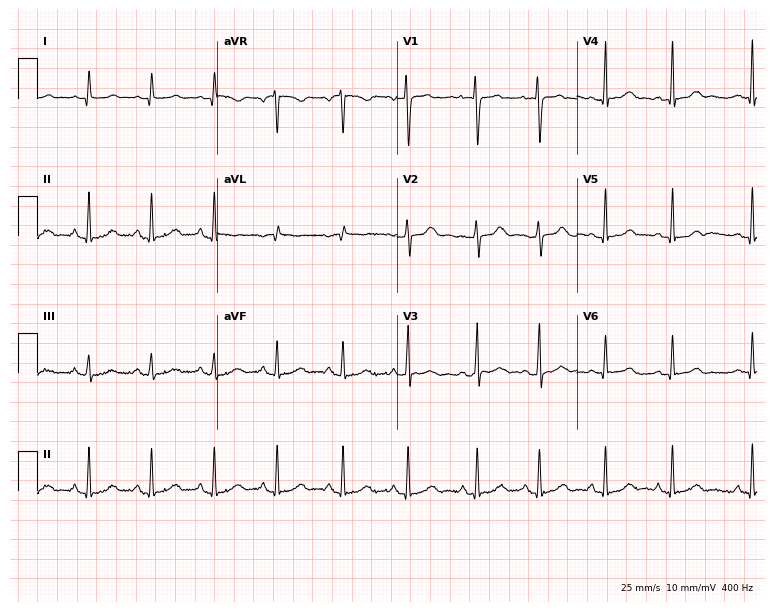
ECG (7.3-second recording at 400 Hz) — a female patient, 19 years old. Labelled as a normal ECG.